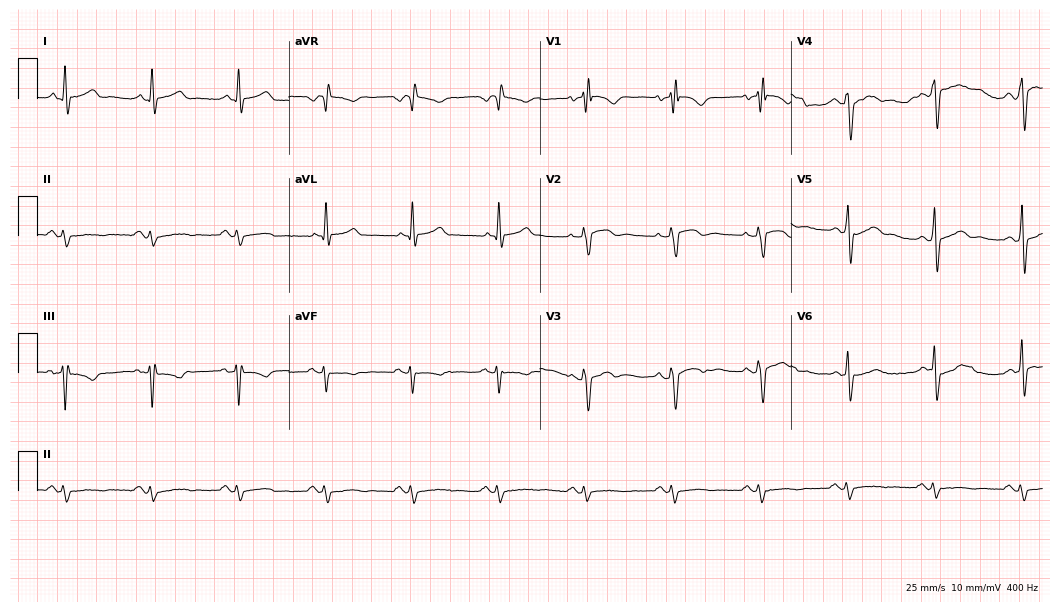
12-lead ECG from a 69-year-old male (10.2-second recording at 400 Hz). No first-degree AV block, right bundle branch block, left bundle branch block, sinus bradycardia, atrial fibrillation or sinus tachycardia recorded for this tracing. Findings outside these six are not listed.